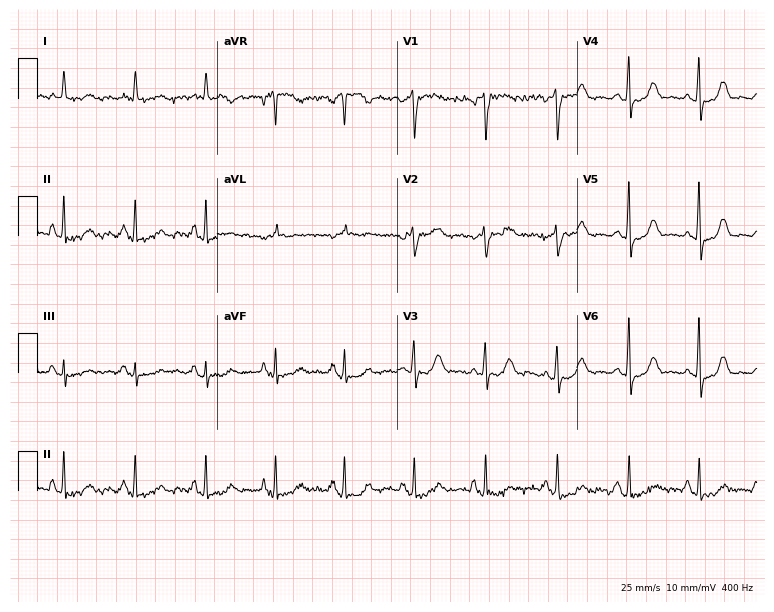
12-lead ECG from a woman, 56 years old (7.3-second recording at 400 Hz). Recorded interpretation: within normal limits.